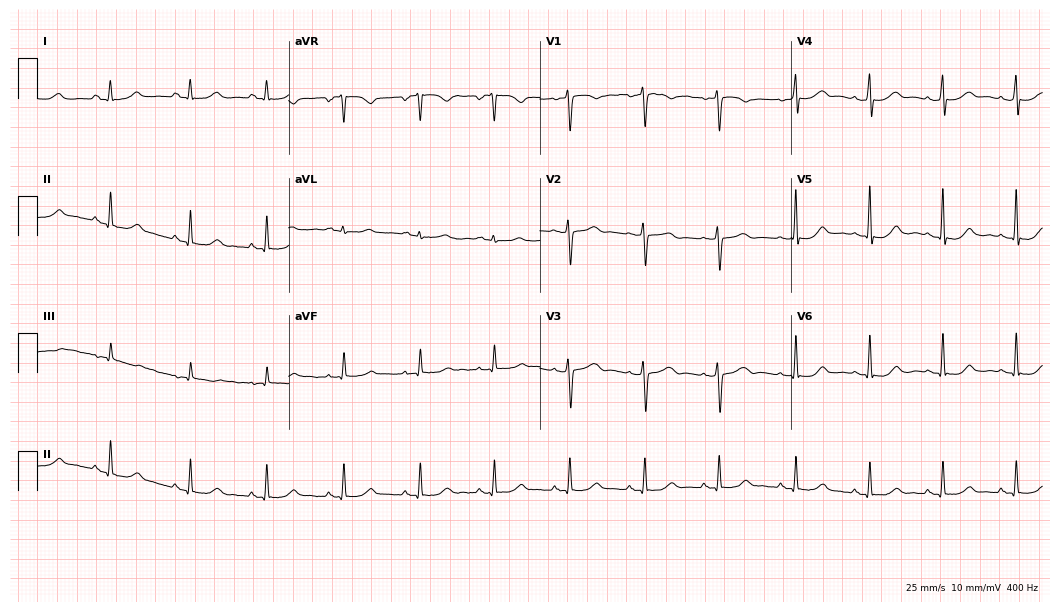
12-lead ECG from a female, 24 years old. Labelled as a normal ECG.